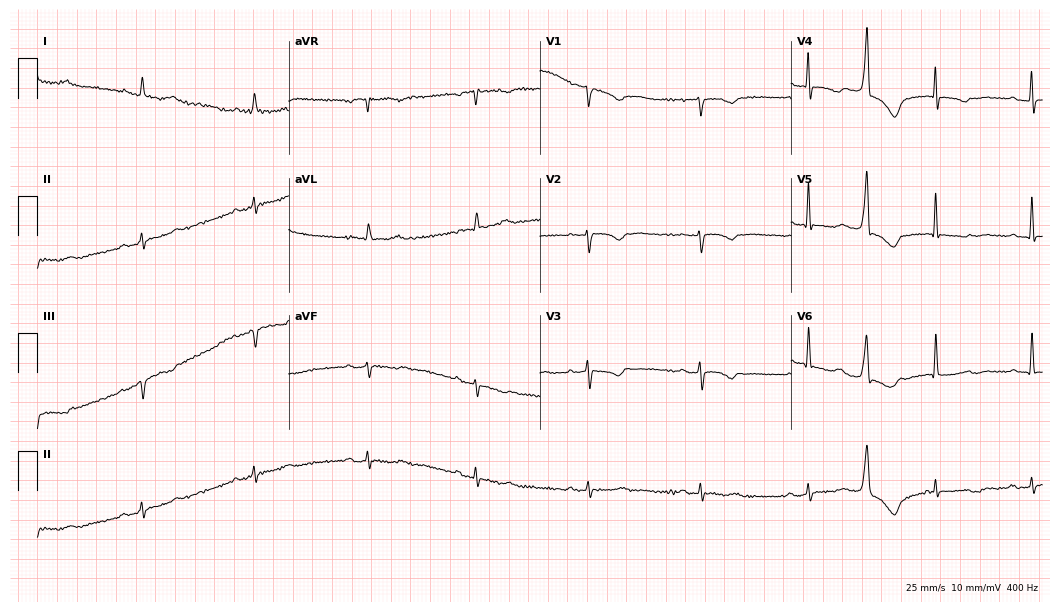
12-lead ECG from a female, 84 years old. Screened for six findings — first-degree AV block, right bundle branch block, left bundle branch block, sinus bradycardia, atrial fibrillation, sinus tachycardia — none is recorded. Only these six findings were labelled.